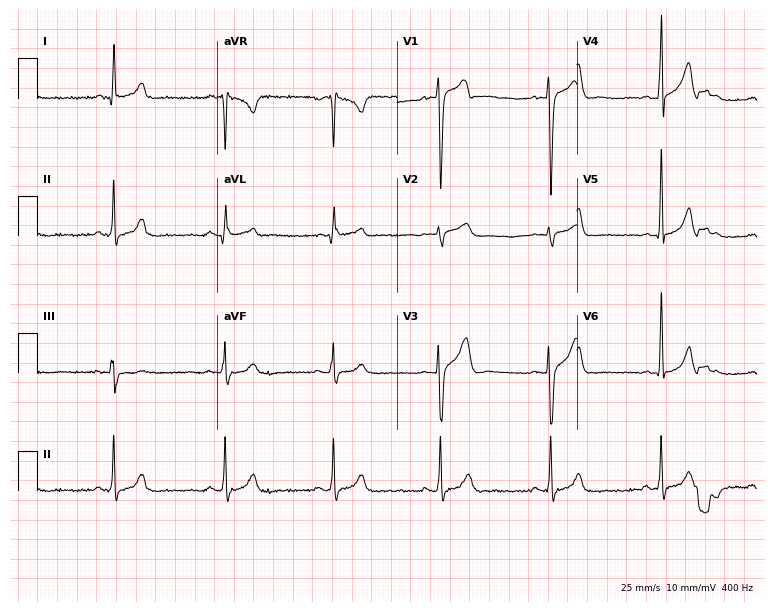
ECG — a male patient, 38 years old. Labelled as a normal ECG.